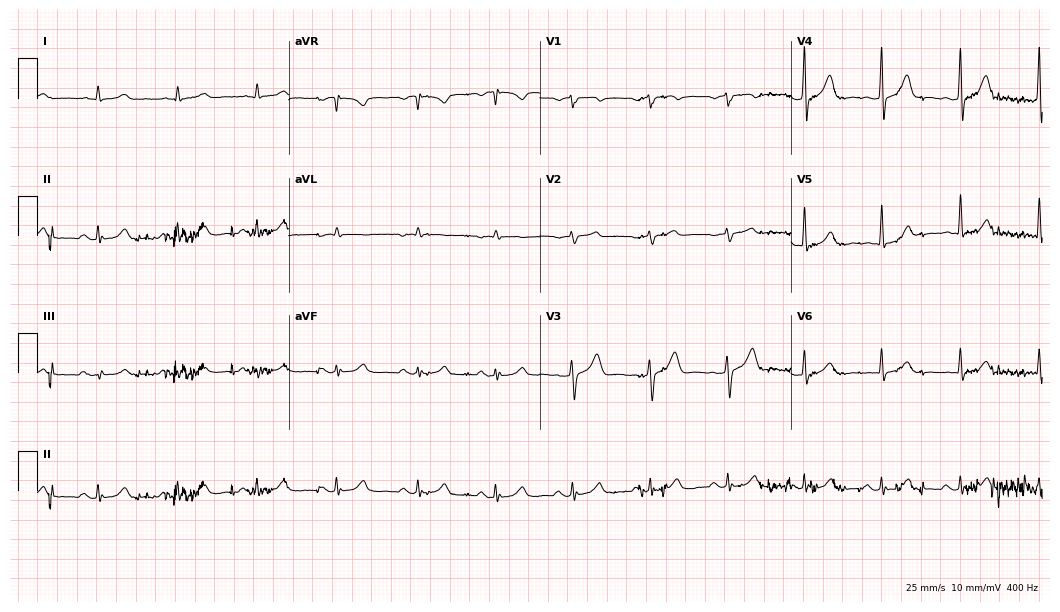
12-lead ECG from a male, 57 years old. Recorded interpretation: within normal limits.